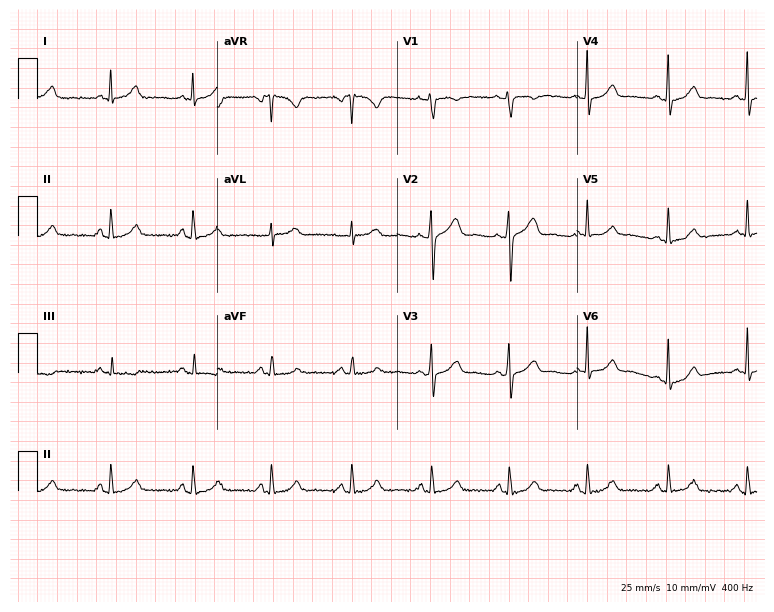
Resting 12-lead electrocardiogram (7.3-second recording at 400 Hz). Patient: a 45-year-old female. Read as a normal ECG.